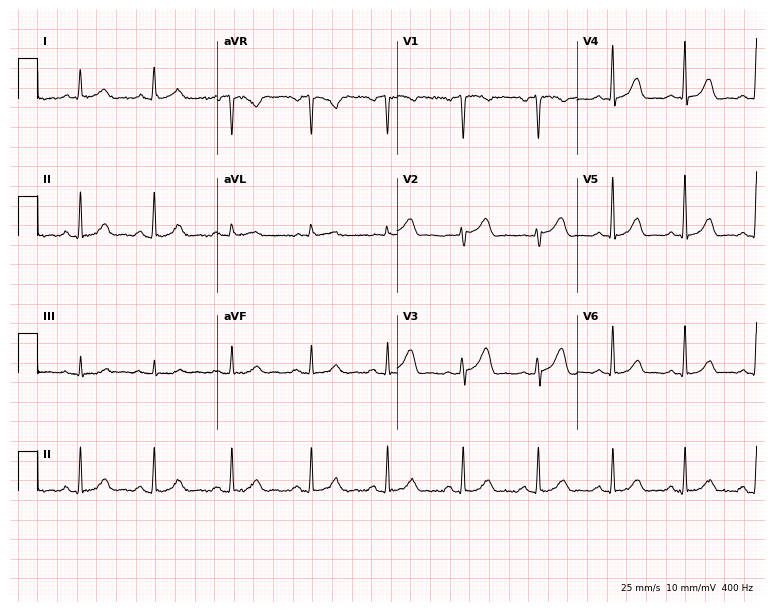
Standard 12-lead ECG recorded from a female, 46 years old (7.3-second recording at 400 Hz). Read as a normal ECG.